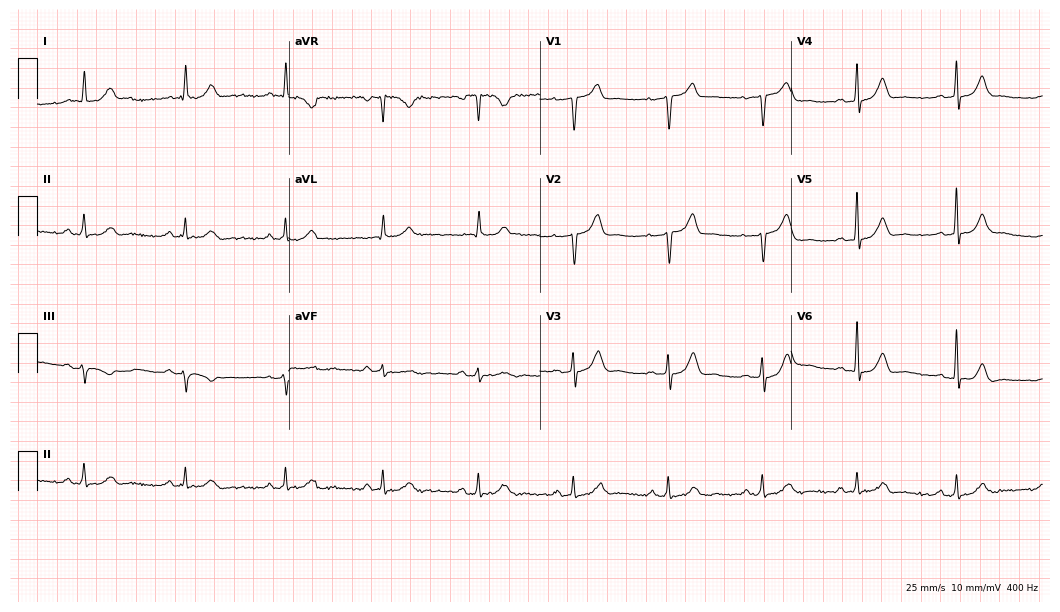
ECG — a male patient, 64 years old. Labelled as a normal ECG.